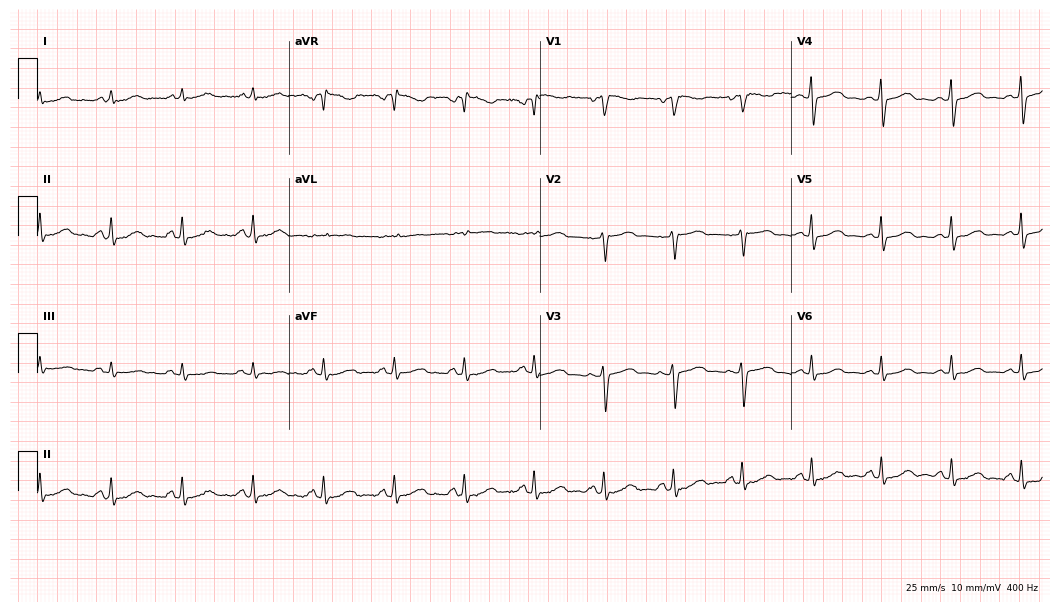
Standard 12-lead ECG recorded from a female, 46 years old. None of these six findings is recorded: first-degree AV block, right bundle branch block, left bundle branch block, sinus bradycardia, atrial fibrillation, sinus tachycardia.